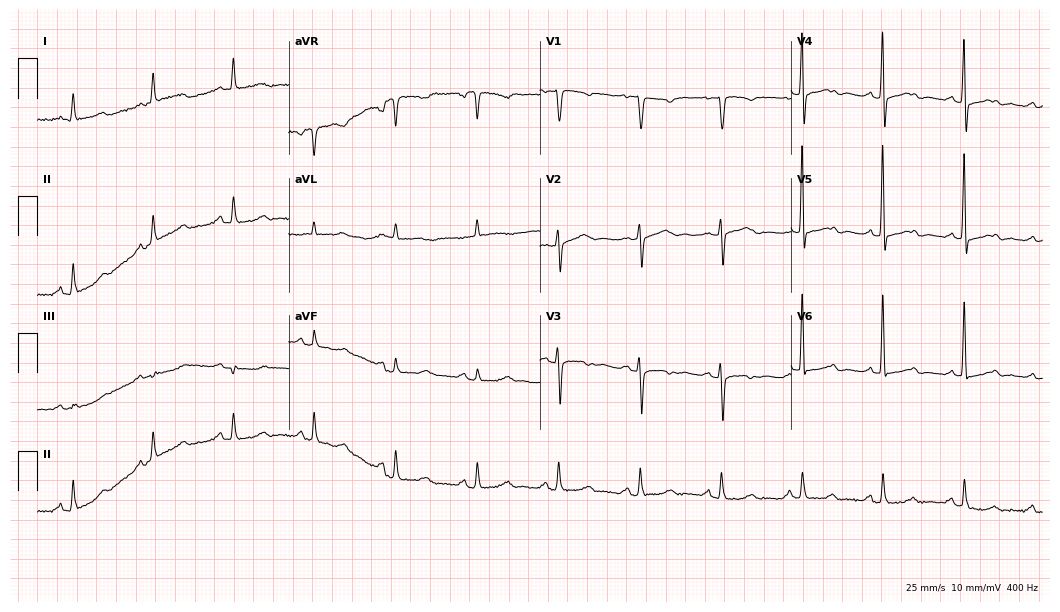
12-lead ECG from a female patient, 72 years old. Screened for six findings — first-degree AV block, right bundle branch block (RBBB), left bundle branch block (LBBB), sinus bradycardia, atrial fibrillation (AF), sinus tachycardia — none is recorded. Findings outside these six are not listed.